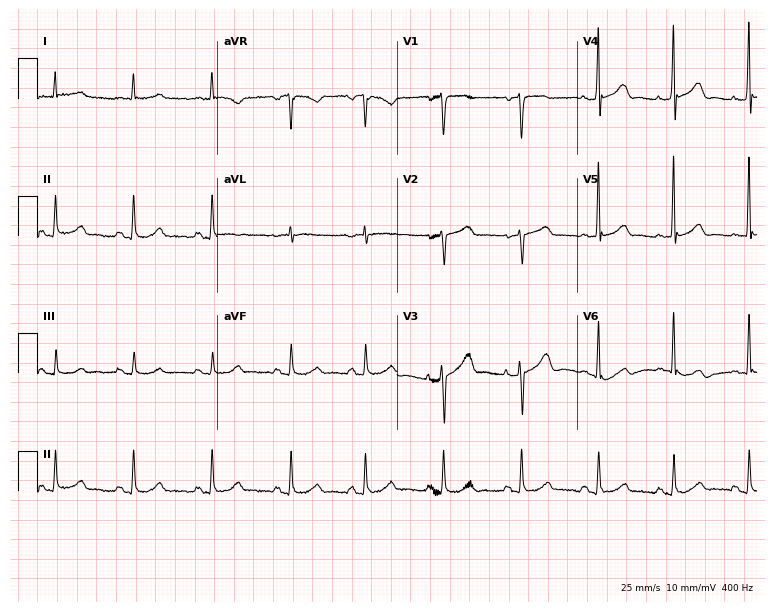
Standard 12-lead ECG recorded from a woman, 80 years old (7.3-second recording at 400 Hz). Read as a normal ECG.